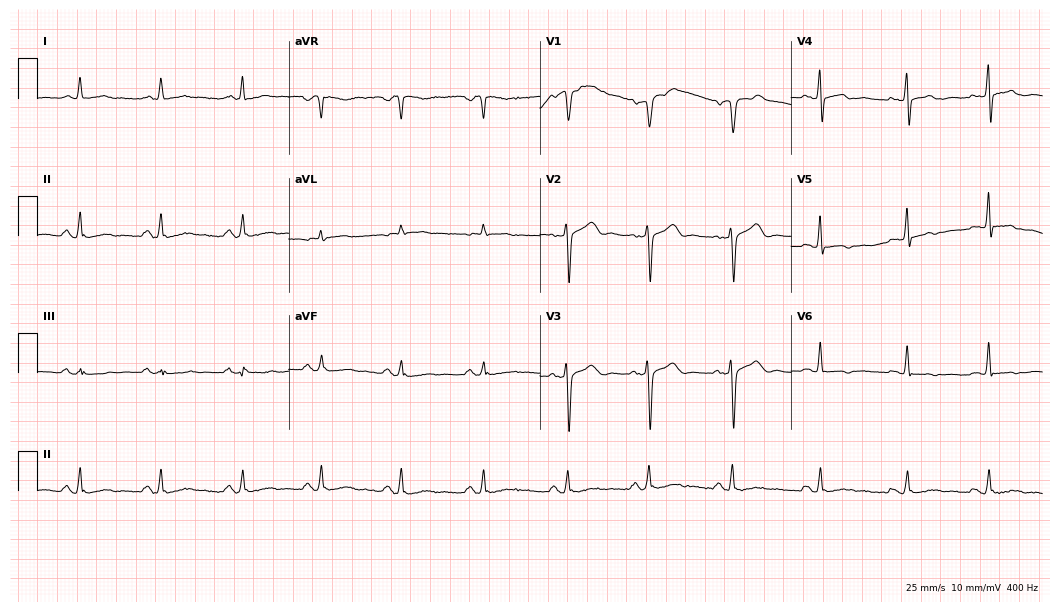
Electrocardiogram, a woman, 57 years old. Of the six screened findings (first-degree AV block, right bundle branch block, left bundle branch block, sinus bradycardia, atrial fibrillation, sinus tachycardia), none is recorded. Findings outside these six are not listed.